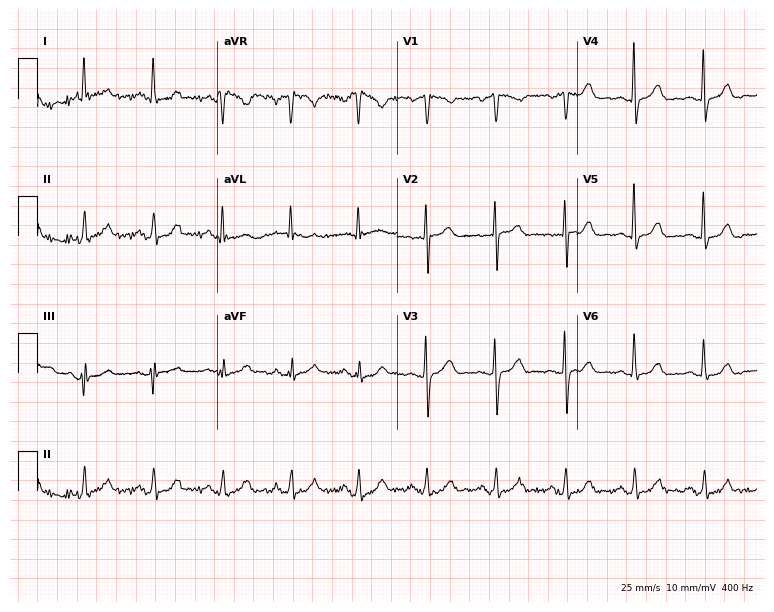
ECG (7.3-second recording at 400 Hz) — a 62-year-old woman. Labelled as a normal ECG.